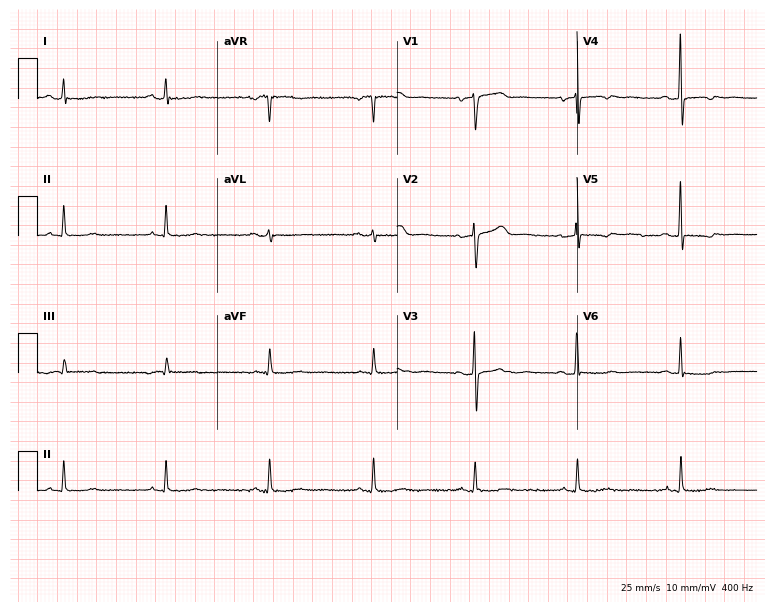
Resting 12-lead electrocardiogram. Patient: a 74-year-old female. None of these six findings is recorded: first-degree AV block, right bundle branch block, left bundle branch block, sinus bradycardia, atrial fibrillation, sinus tachycardia. Findings outside these six are not listed.